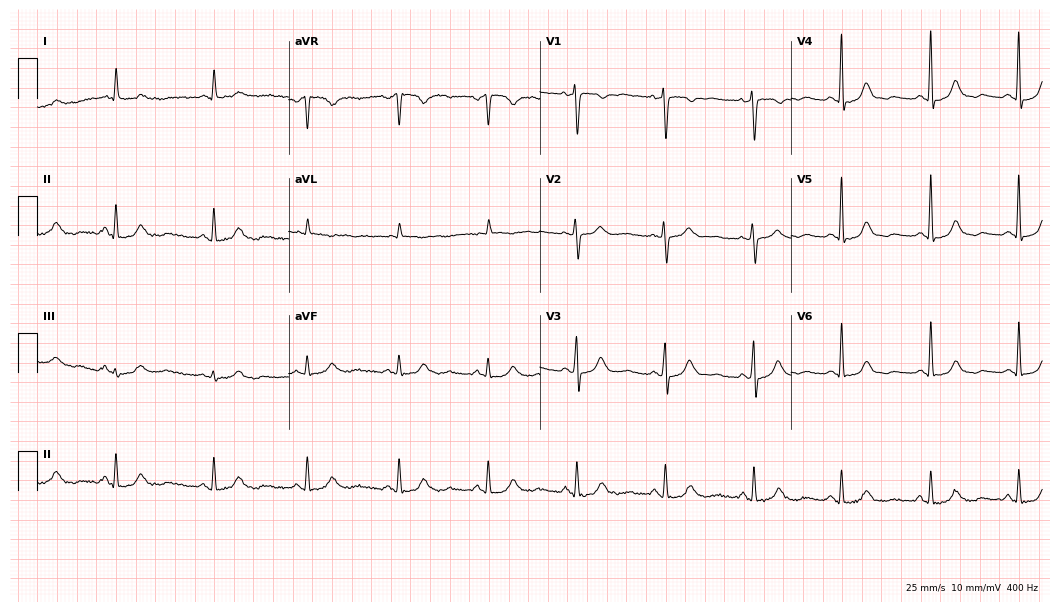
Standard 12-lead ECG recorded from a female patient, 69 years old. Read as a normal ECG.